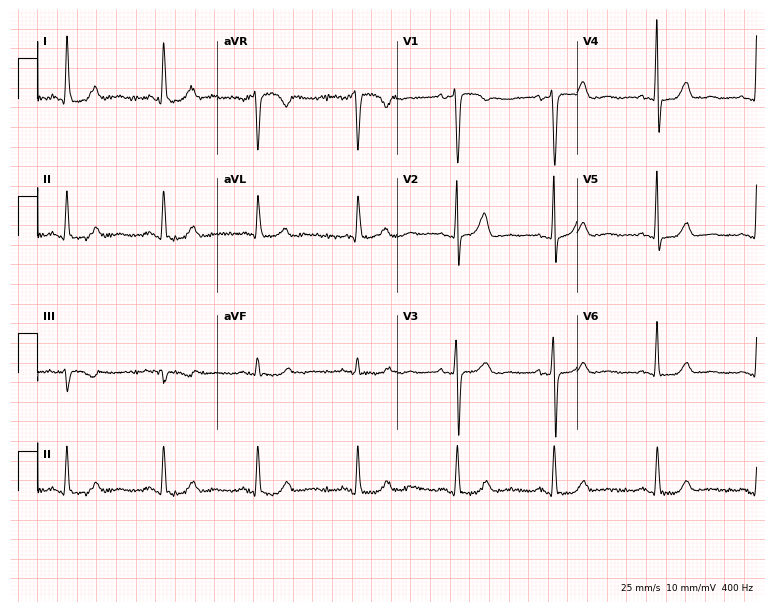
Electrocardiogram (7.3-second recording at 400 Hz), a male patient, 72 years old. Overall reading on record: normal ECG.